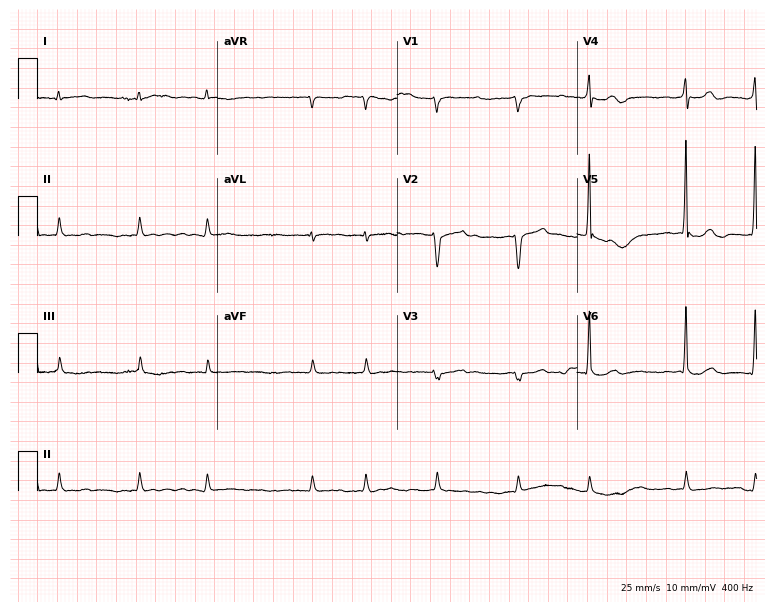
Resting 12-lead electrocardiogram. Patient: a 69-year-old man. The tracing shows atrial fibrillation.